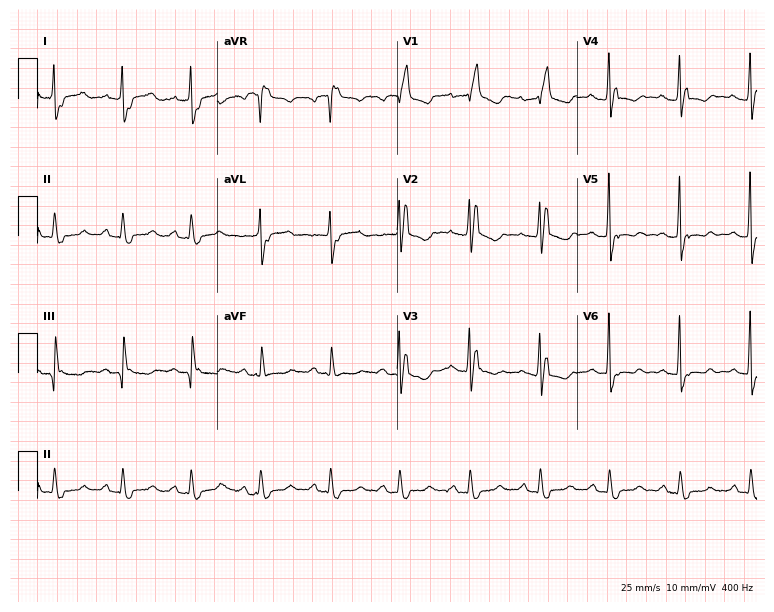
12-lead ECG from a woman, 84 years old (7.3-second recording at 400 Hz). Shows right bundle branch block.